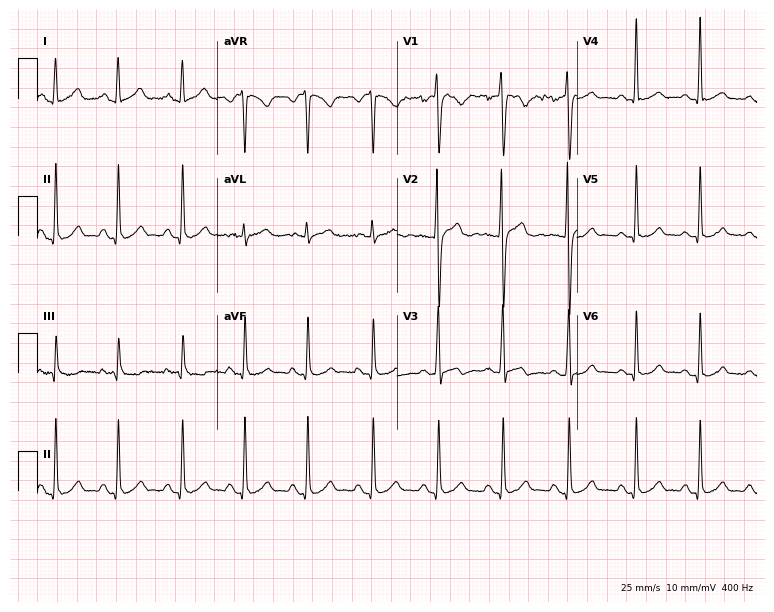
Electrocardiogram (7.3-second recording at 400 Hz), a male patient, 24 years old. Overall reading on record: normal ECG.